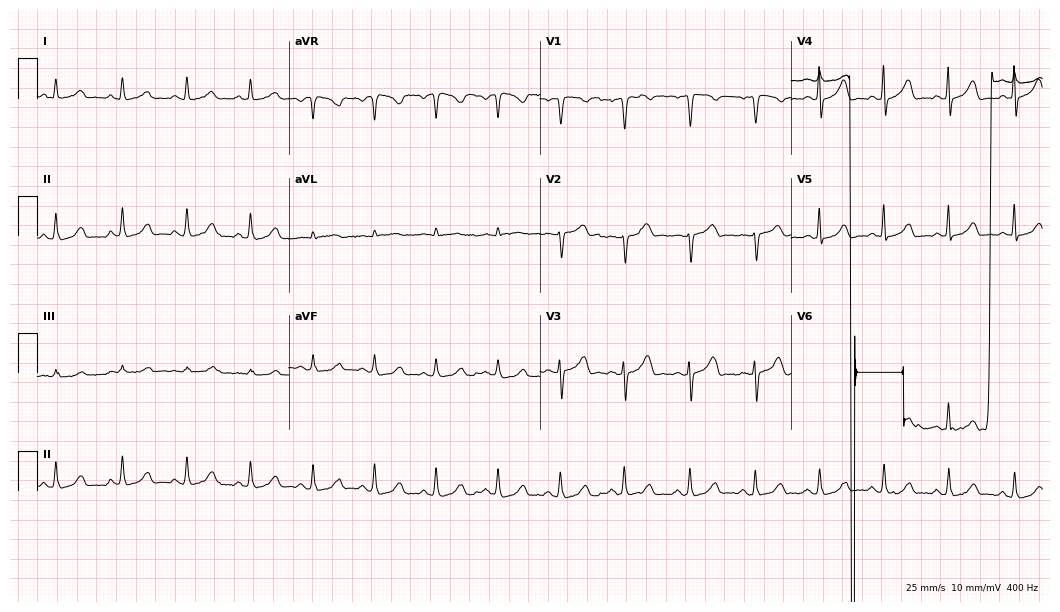
12-lead ECG from a 39-year-old woman (10.2-second recording at 400 Hz). No first-degree AV block, right bundle branch block, left bundle branch block, sinus bradycardia, atrial fibrillation or sinus tachycardia recorded for this tracing. Other findings, if any, are not listed.